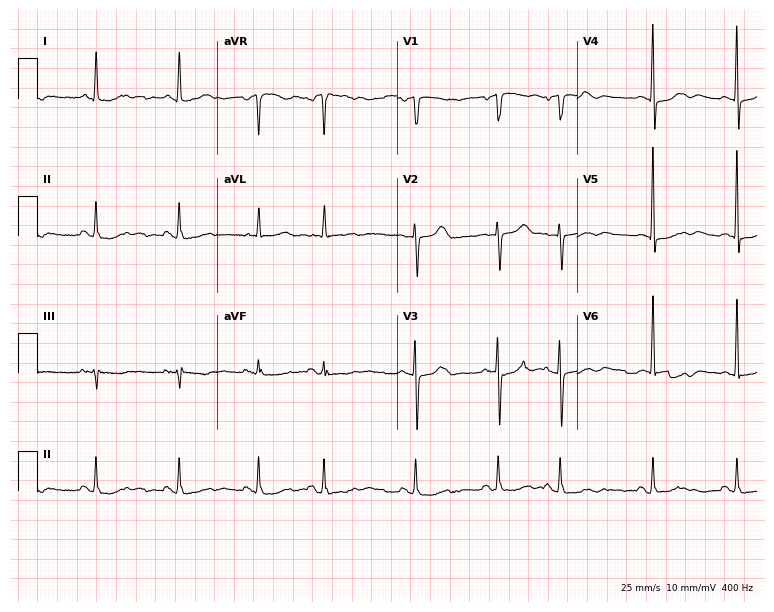
Resting 12-lead electrocardiogram. Patient: a 72-year-old woman. None of these six findings is recorded: first-degree AV block, right bundle branch block (RBBB), left bundle branch block (LBBB), sinus bradycardia, atrial fibrillation (AF), sinus tachycardia. Only these six findings were labelled.